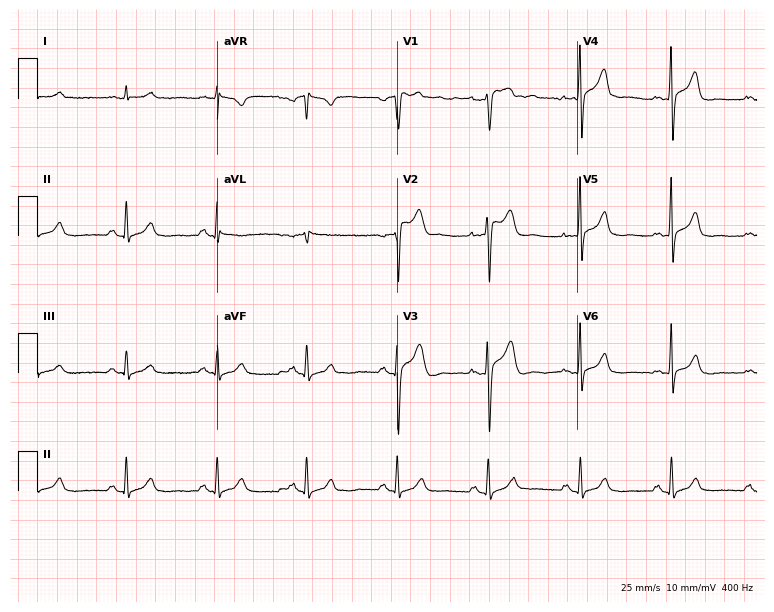
Standard 12-lead ECG recorded from a 60-year-old man (7.3-second recording at 400 Hz). None of these six findings is recorded: first-degree AV block, right bundle branch block, left bundle branch block, sinus bradycardia, atrial fibrillation, sinus tachycardia. Findings outside these six are not listed.